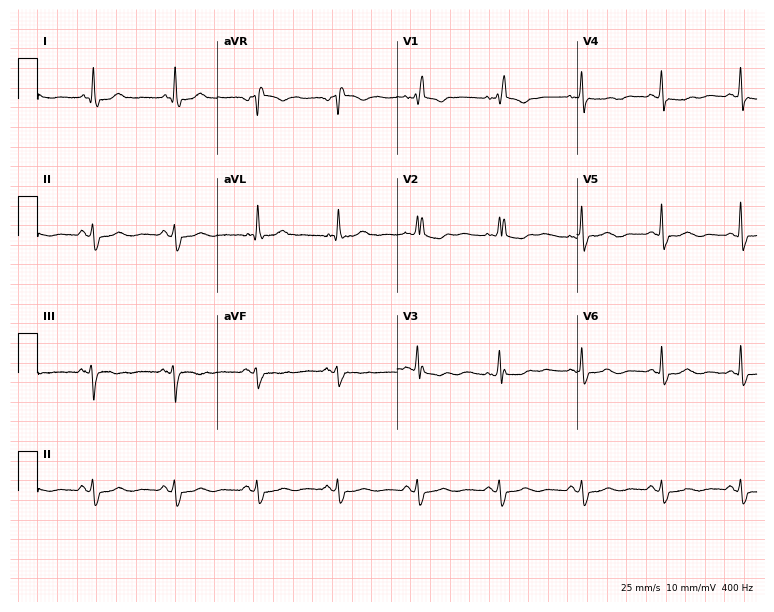
ECG (7.3-second recording at 400 Hz) — a 65-year-old female patient. Findings include right bundle branch block.